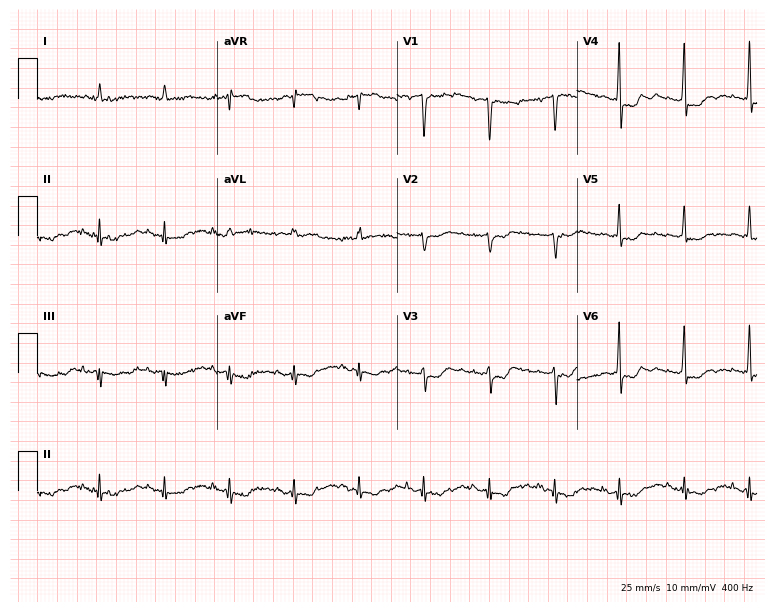
Resting 12-lead electrocardiogram (7.3-second recording at 400 Hz). Patient: a woman, 62 years old. None of these six findings is recorded: first-degree AV block, right bundle branch block, left bundle branch block, sinus bradycardia, atrial fibrillation, sinus tachycardia. Only these six findings were labelled.